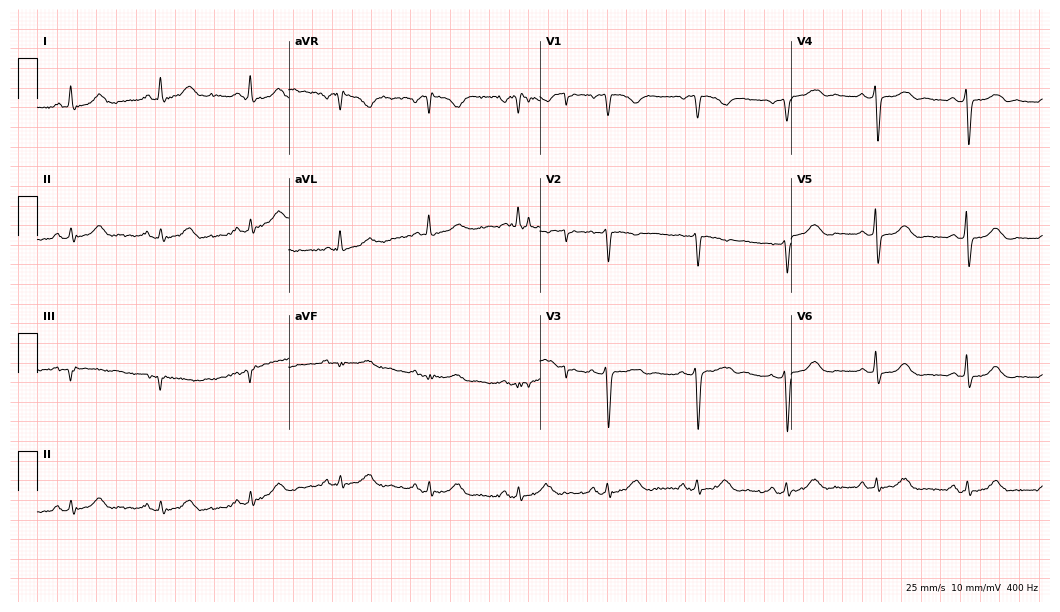
12-lead ECG from a woman, 58 years old. No first-degree AV block, right bundle branch block (RBBB), left bundle branch block (LBBB), sinus bradycardia, atrial fibrillation (AF) or sinus tachycardia recorded for this tracing.